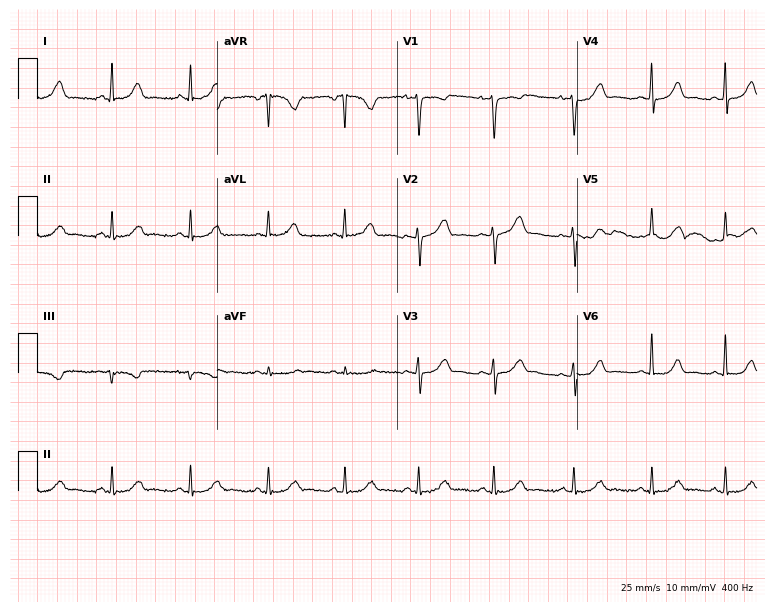
Standard 12-lead ECG recorded from a female patient, 31 years old. Read as a normal ECG.